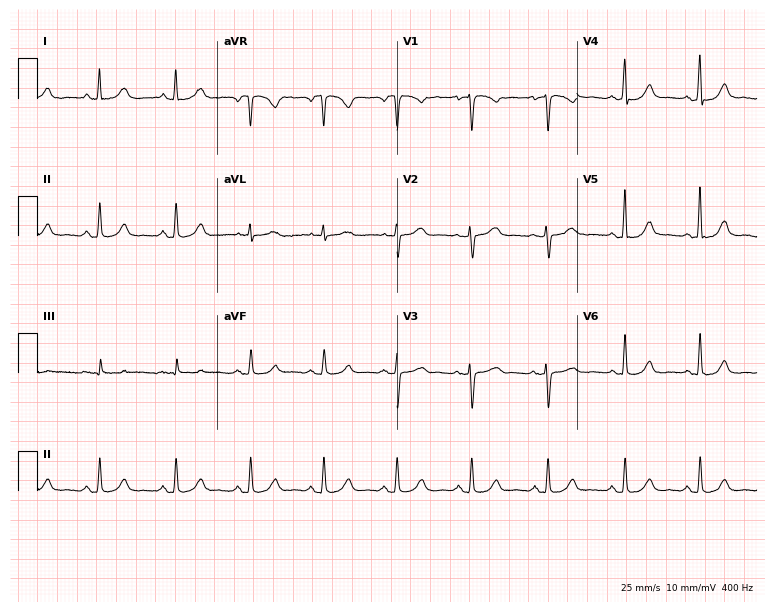
Resting 12-lead electrocardiogram (7.3-second recording at 400 Hz). Patient: a woman, 41 years old. Read as a normal ECG.